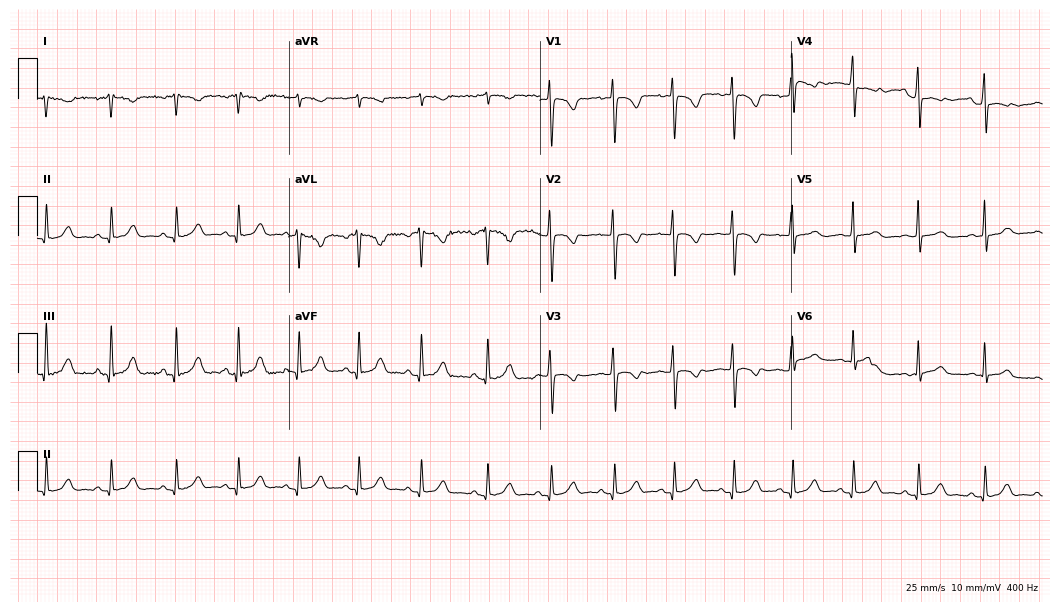
12-lead ECG from a female, 25 years old. Screened for six findings — first-degree AV block, right bundle branch block, left bundle branch block, sinus bradycardia, atrial fibrillation, sinus tachycardia — none is recorded. Other findings, if any, are not listed.